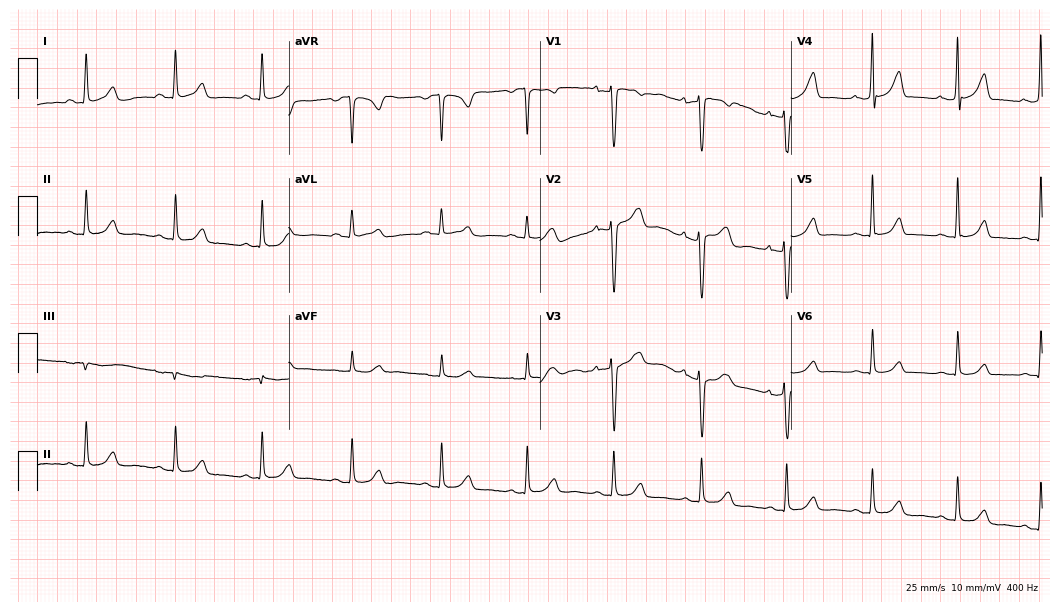
ECG — a 34-year-old female patient. Labelled as a normal ECG.